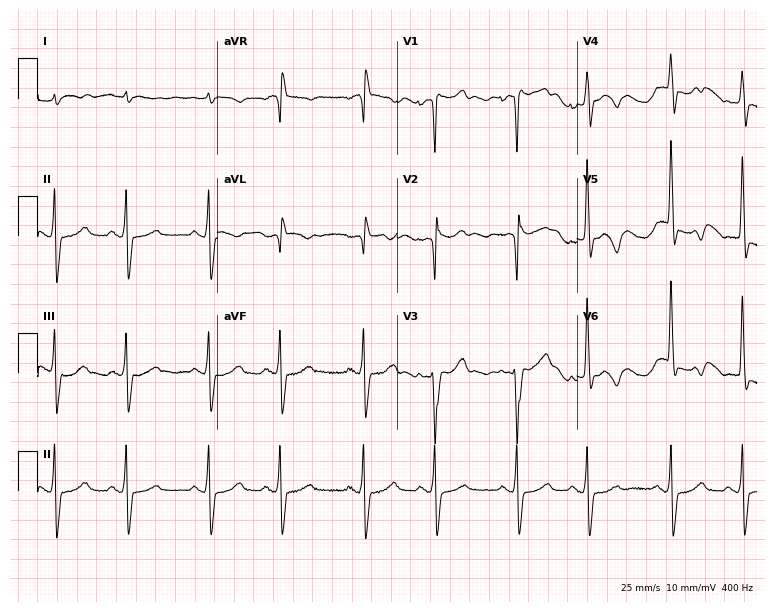
Standard 12-lead ECG recorded from a female, 75 years old (7.3-second recording at 400 Hz). None of these six findings is recorded: first-degree AV block, right bundle branch block, left bundle branch block, sinus bradycardia, atrial fibrillation, sinus tachycardia. Findings outside these six are not listed.